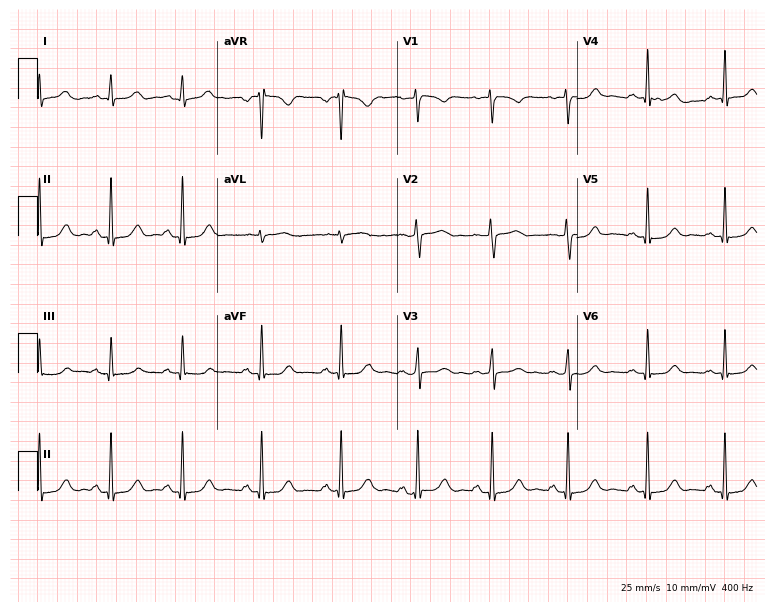
Electrocardiogram (7.3-second recording at 400 Hz), a female patient, 37 years old. Overall reading on record: normal ECG.